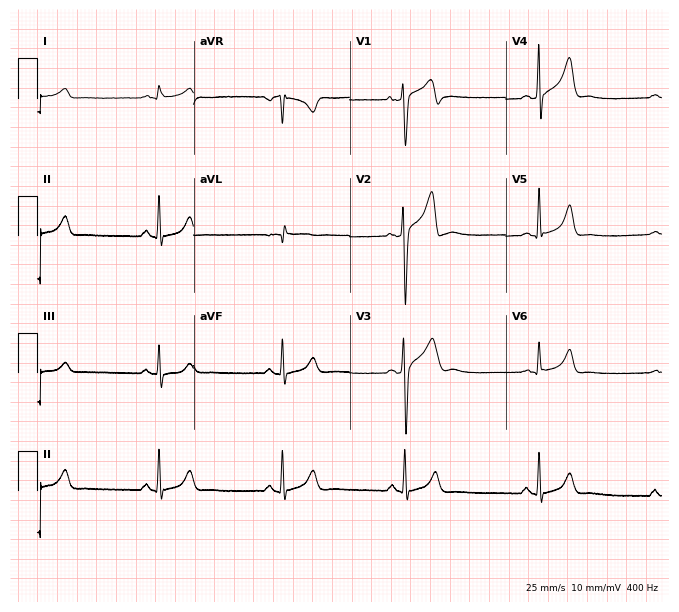
12-lead ECG from a 30-year-old man. No first-degree AV block, right bundle branch block, left bundle branch block, sinus bradycardia, atrial fibrillation or sinus tachycardia recorded for this tracing.